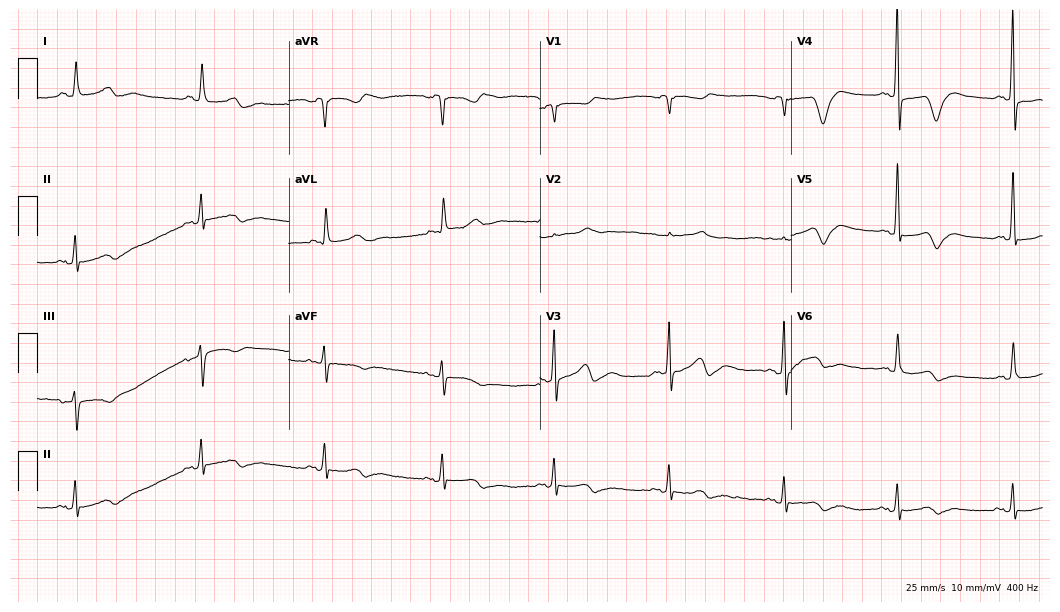
12-lead ECG from a 73-year-old female (10.2-second recording at 400 Hz). No first-degree AV block, right bundle branch block, left bundle branch block, sinus bradycardia, atrial fibrillation or sinus tachycardia recorded for this tracing.